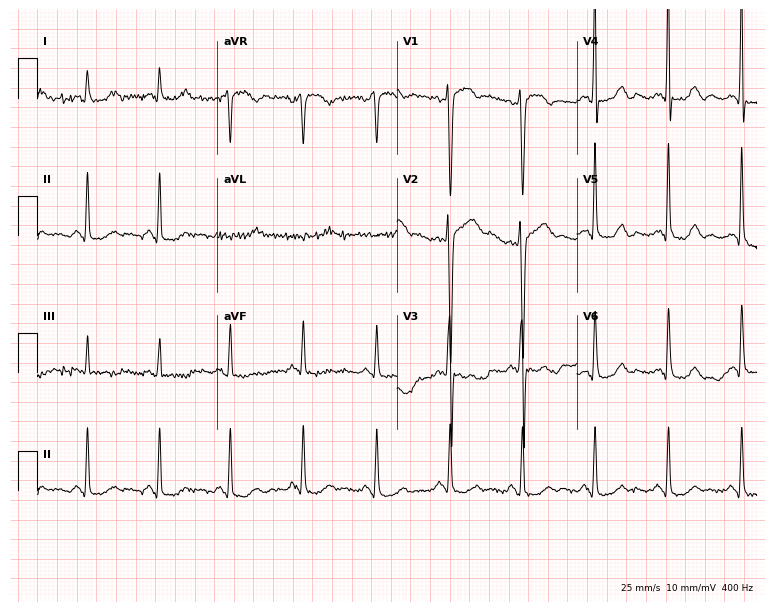
ECG (7.3-second recording at 400 Hz) — a man, 46 years old. Screened for six findings — first-degree AV block, right bundle branch block, left bundle branch block, sinus bradycardia, atrial fibrillation, sinus tachycardia — none is recorded.